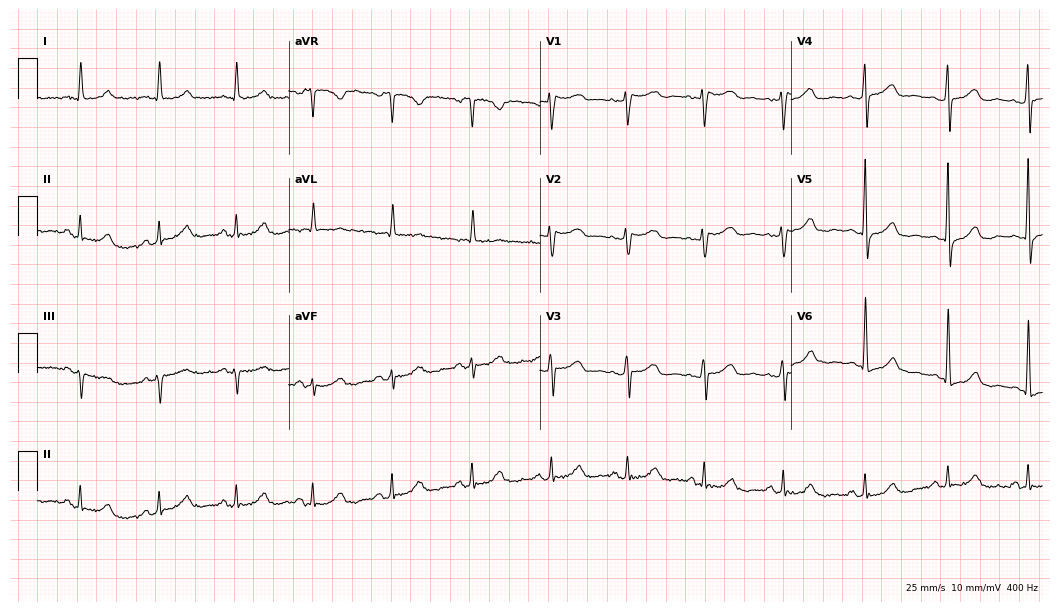
Resting 12-lead electrocardiogram. Patient: a female, 56 years old. None of these six findings is recorded: first-degree AV block, right bundle branch block (RBBB), left bundle branch block (LBBB), sinus bradycardia, atrial fibrillation (AF), sinus tachycardia. Findings outside these six are not listed.